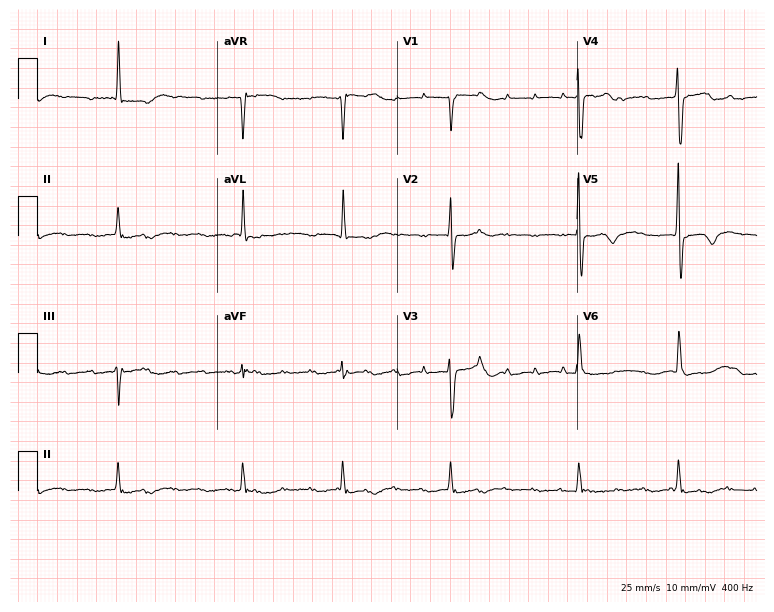
Standard 12-lead ECG recorded from an 81-year-old woman (7.3-second recording at 400 Hz). The tracing shows atrial fibrillation.